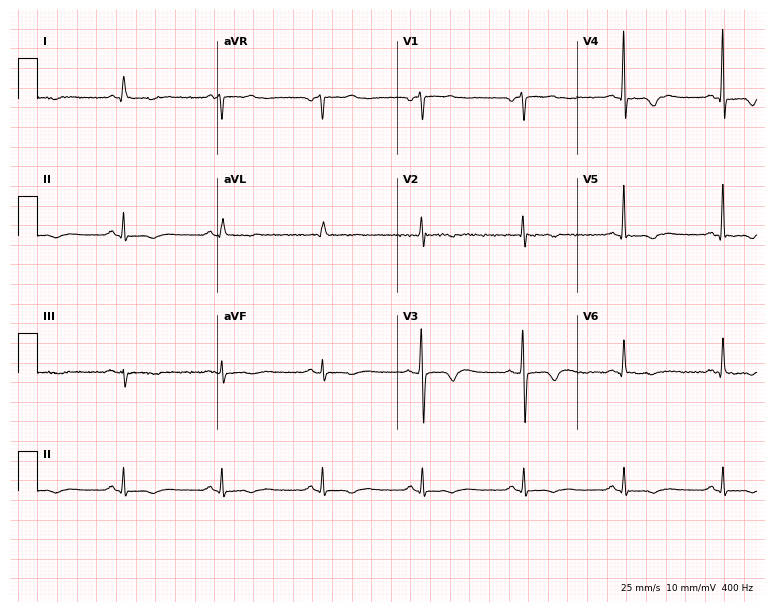
Resting 12-lead electrocardiogram (7.3-second recording at 400 Hz). Patient: a man, 67 years old. None of these six findings is recorded: first-degree AV block, right bundle branch block, left bundle branch block, sinus bradycardia, atrial fibrillation, sinus tachycardia.